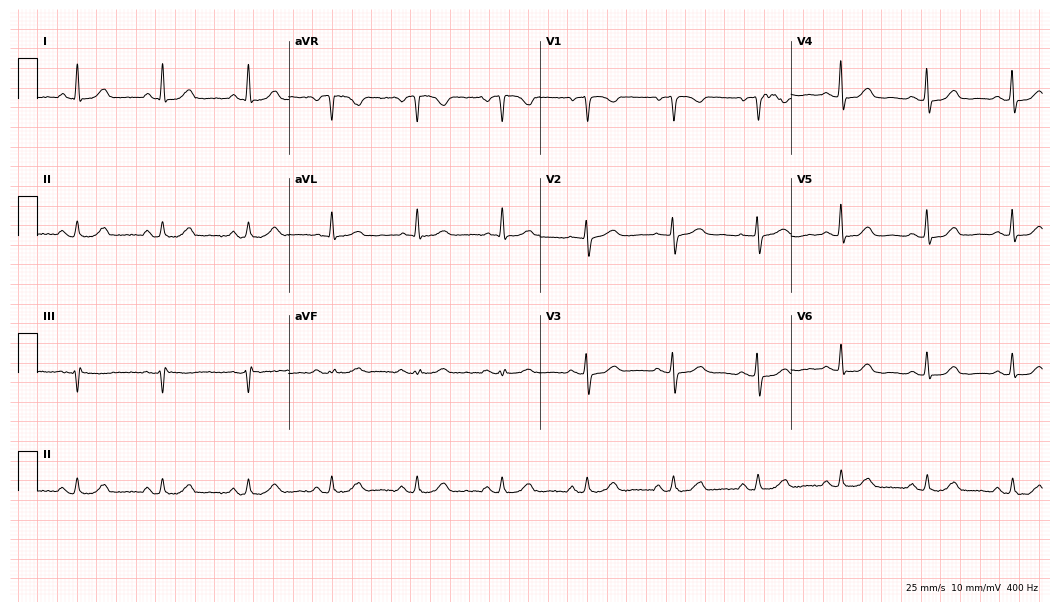
Standard 12-lead ECG recorded from a female patient, 67 years old (10.2-second recording at 400 Hz). Read as a normal ECG.